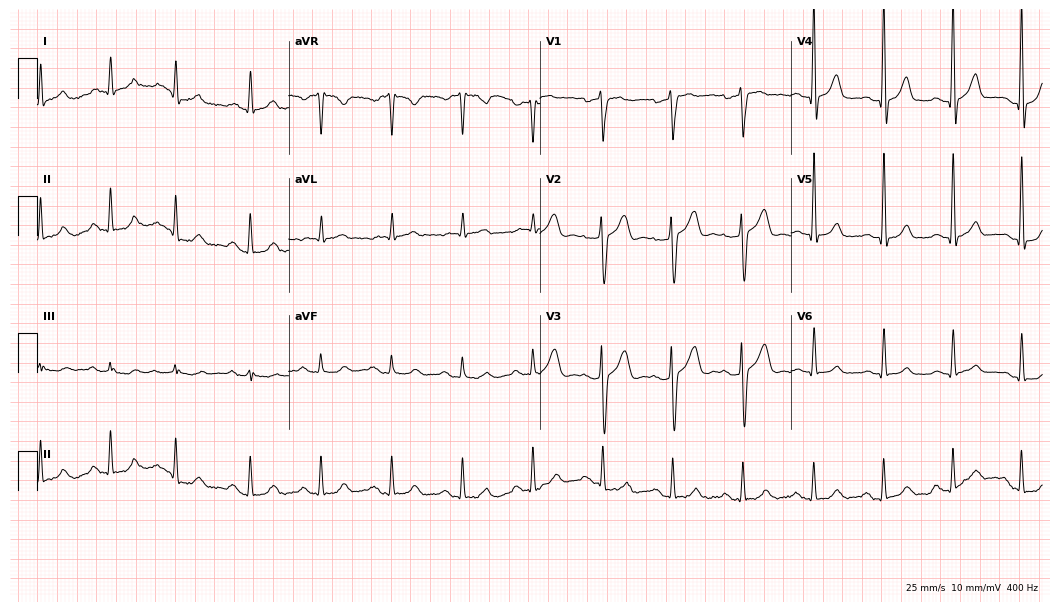
12-lead ECG from a female patient, 69 years old (10.2-second recording at 400 Hz). Recorded interpretation: within normal limits.